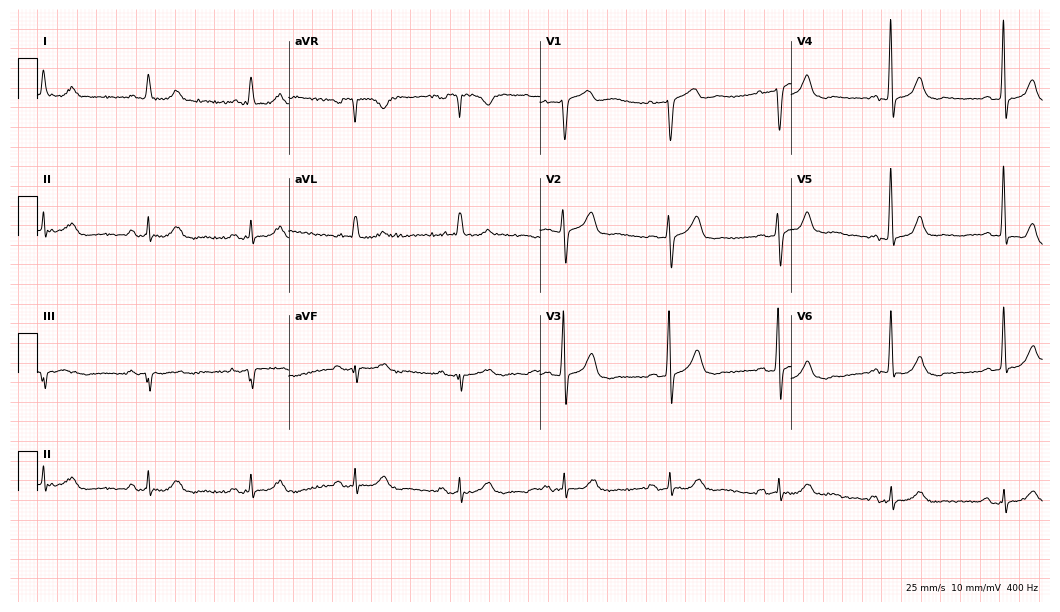
12-lead ECG (10.2-second recording at 400 Hz) from a female patient, 77 years old. Labelled as a normal ECG.